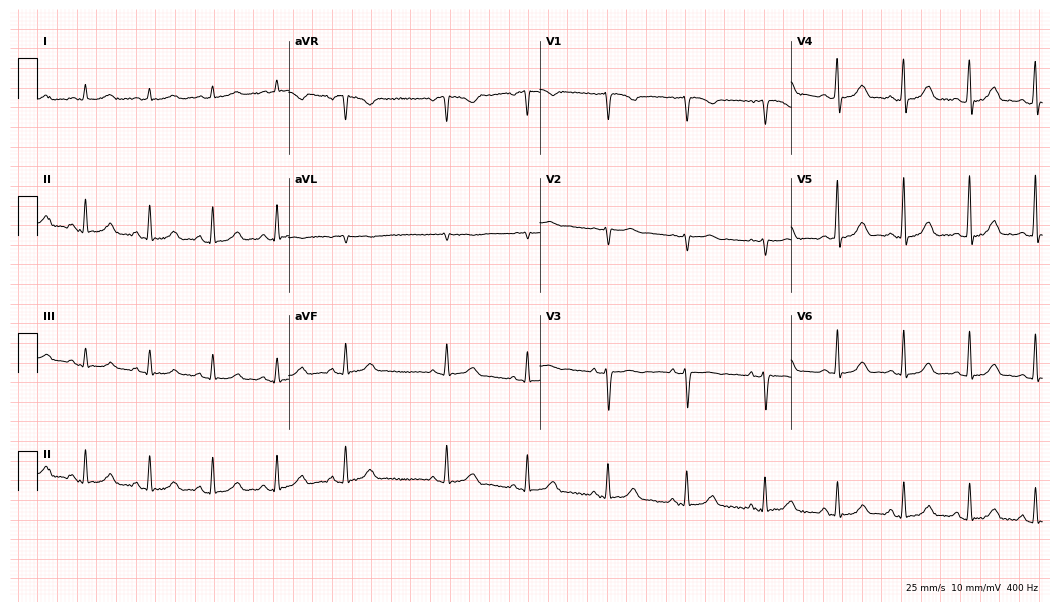
Resting 12-lead electrocardiogram (10.2-second recording at 400 Hz). Patient: a female, 72 years old. Read as a normal ECG.